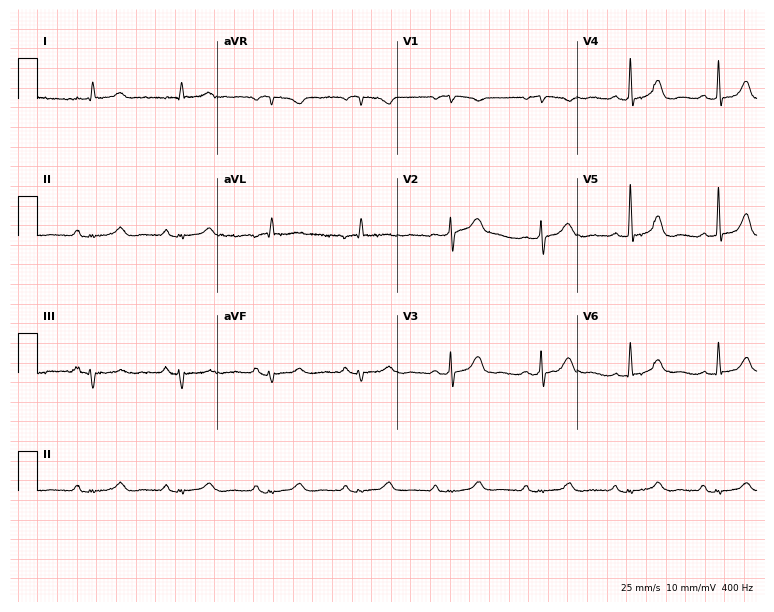
12-lead ECG from a female, 72 years old. No first-degree AV block, right bundle branch block, left bundle branch block, sinus bradycardia, atrial fibrillation or sinus tachycardia recorded for this tracing.